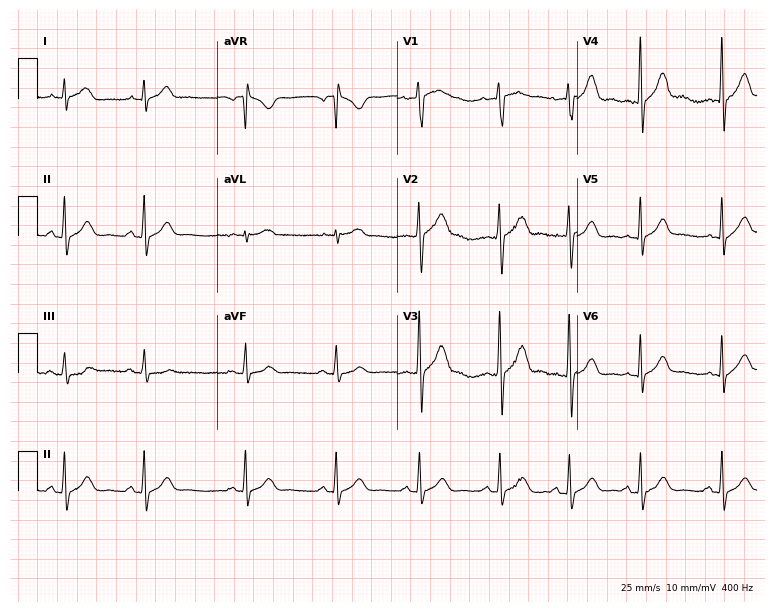
Electrocardiogram (7.3-second recording at 400 Hz), a 41-year-old male patient. Overall reading on record: normal ECG.